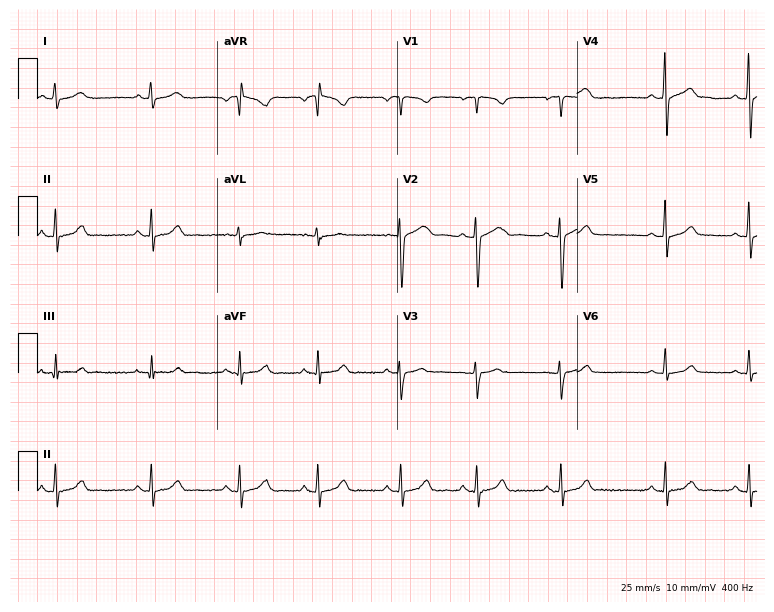
12-lead ECG from a female, 24 years old (7.3-second recording at 400 Hz). No first-degree AV block, right bundle branch block, left bundle branch block, sinus bradycardia, atrial fibrillation or sinus tachycardia recorded for this tracing. Findings outside these six are not listed.